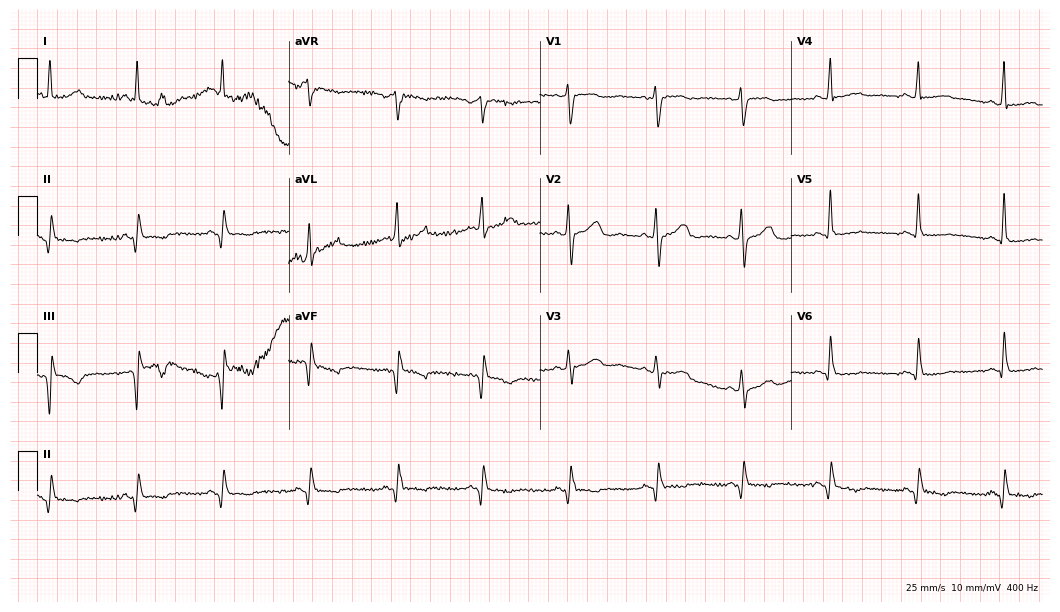
12-lead ECG from a 75-year-old woman. No first-degree AV block, right bundle branch block, left bundle branch block, sinus bradycardia, atrial fibrillation or sinus tachycardia recorded for this tracing. Only these six findings were labelled.